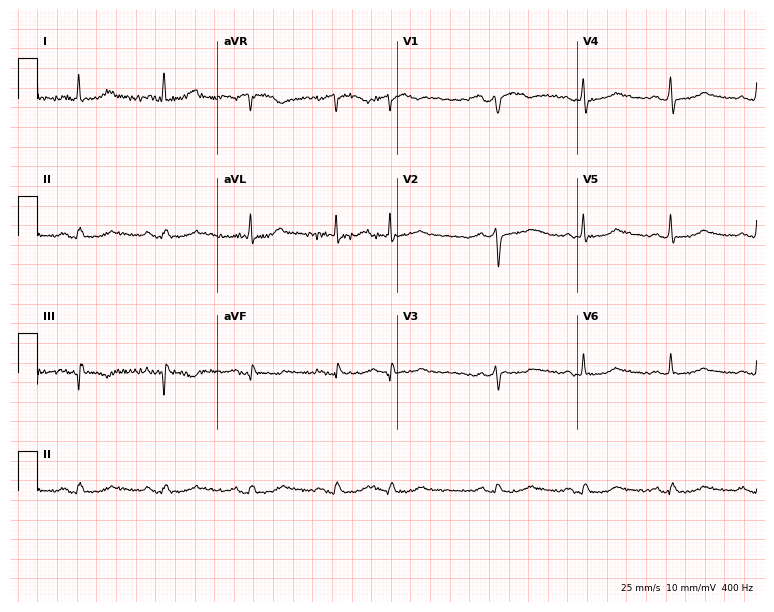
12-lead ECG from a man, 75 years old. Screened for six findings — first-degree AV block, right bundle branch block, left bundle branch block, sinus bradycardia, atrial fibrillation, sinus tachycardia — none is recorded. Other findings, if any, are not listed.